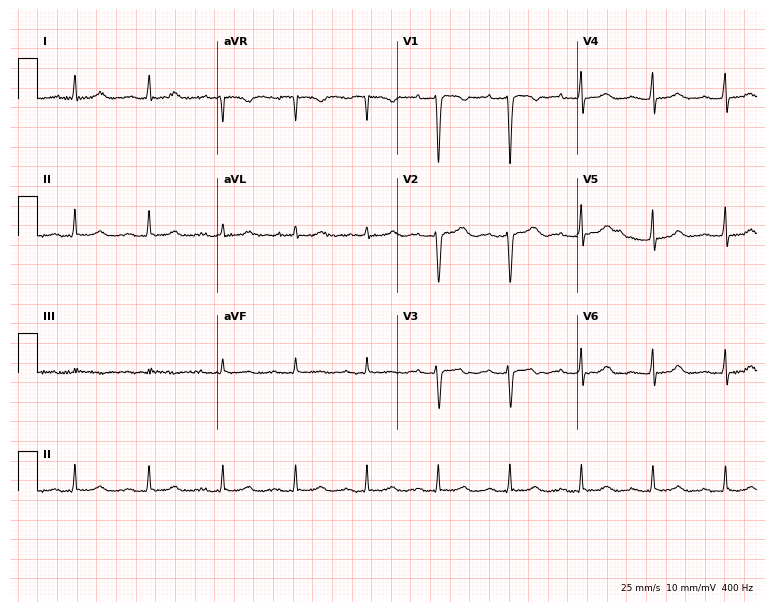
12-lead ECG (7.3-second recording at 400 Hz) from a 38-year-old female. Screened for six findings — first-degree AV block, right bundle branch block (RBBB), left bundle branch block (LBBB), sinus bradycardia, atrial fibrillation (AF), sinus tachycardia — none is recorded.